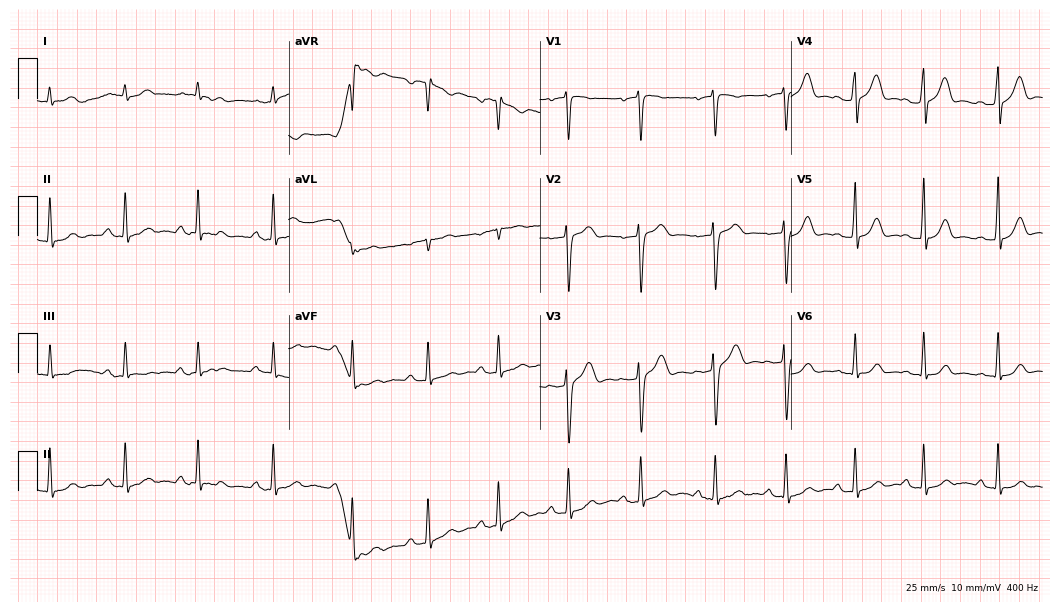
Resting 12-lead electrocardiogram. Patient: a male, 26 years old. None of these six findings is recorded: first-degree AV block, right bundle branch block, left bundle branch block, sinus bradycardia, atrial fibrillation, sinus tachycardia. Only these six findings were labelled.